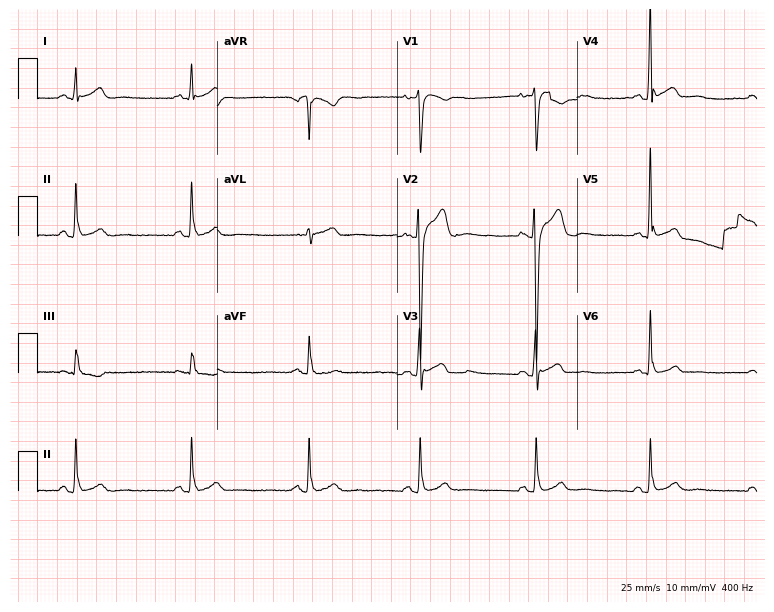
Standard 12-lead ECG recorded from a 21-year-old male (7.3-second recording at 400 Hz). None of these six findings is recorded: first-degree AV block, right bundle branch block, left bundle branch block, sinus bradycardia, atrial fibrillation, sinus tachycardia. Only these six findings were labelled.